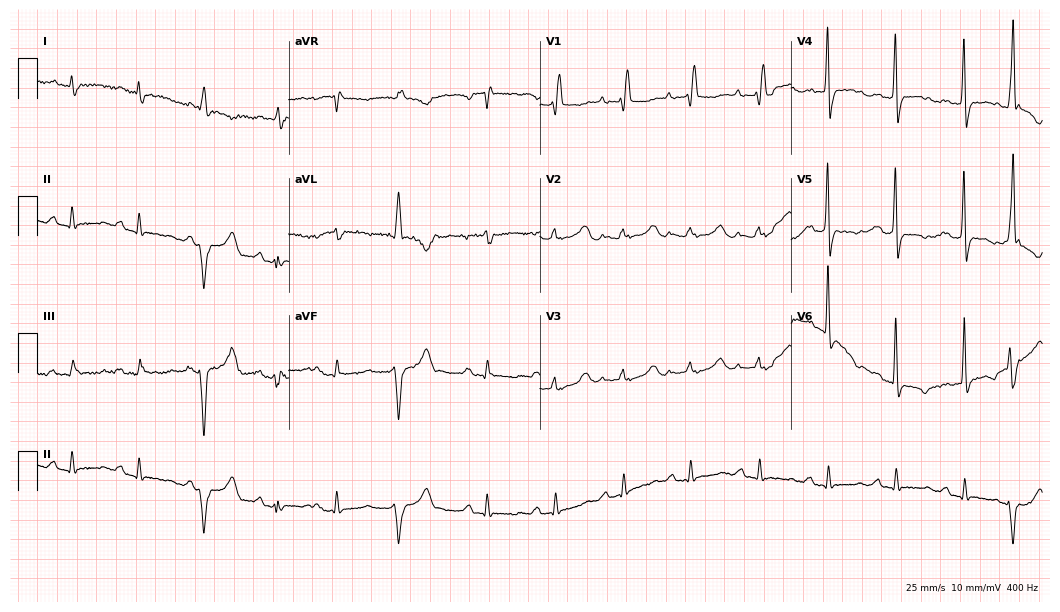
Standard 12-lead ECG recorded from a 73-year-old female patient. The tracing shows right bundle branch block (RBBB).